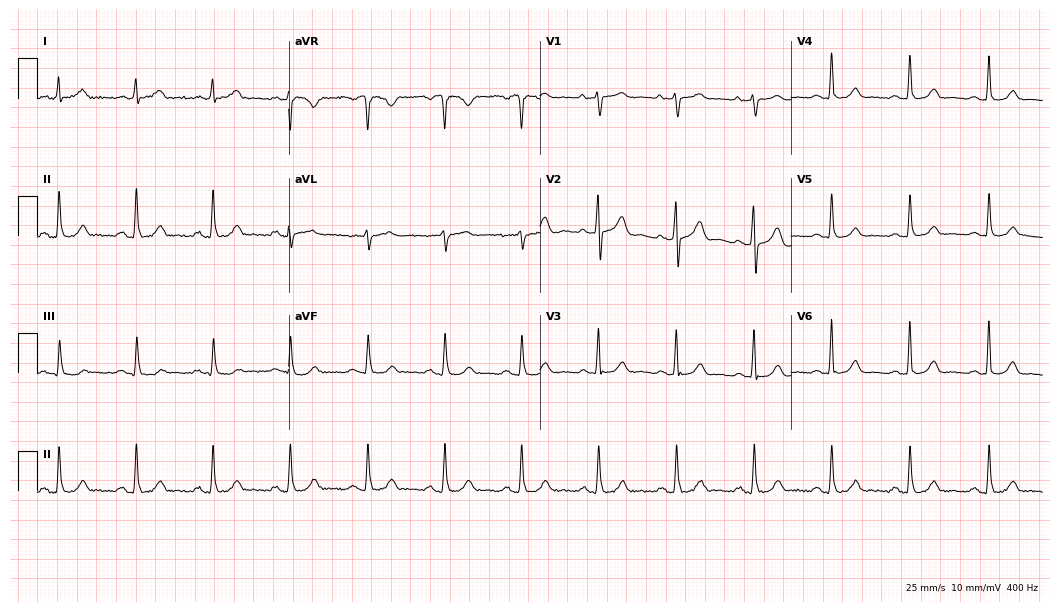
12-lead ECG (10.2-second recording at 400 Hz) from a 66-year-old man. Labelled as a normal ECG.